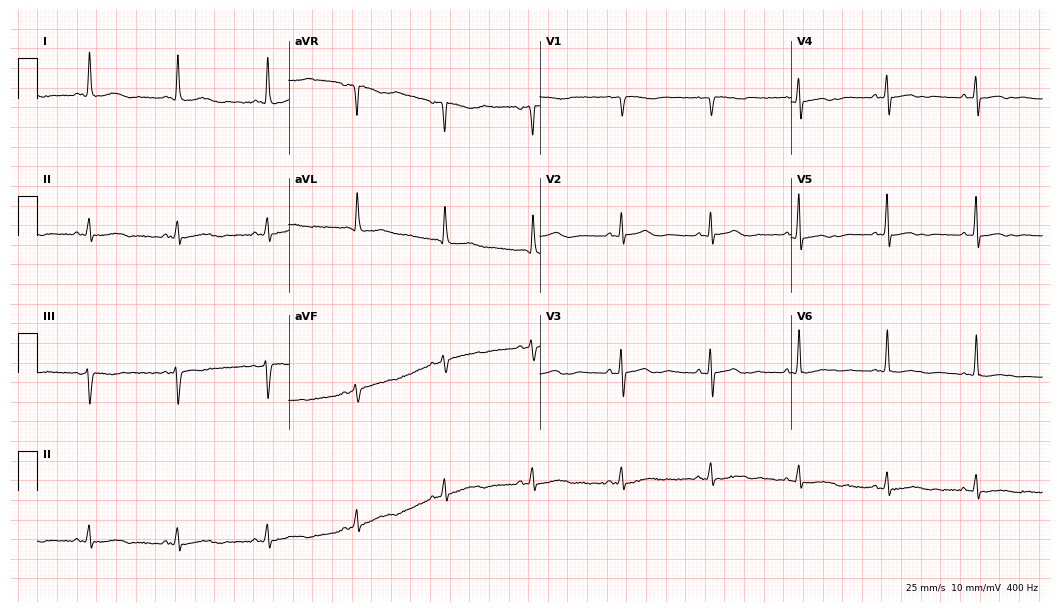
12-lead ECG from a 72-year-old female patient (10.2-second recording at 400 Hz). No first-degree AV block, right bundle branch block, left bundle branch block, sinus bradycardia, atrial fibrillation or sinus tachycardia recorded for this tracing. Only these six findings were labelled.